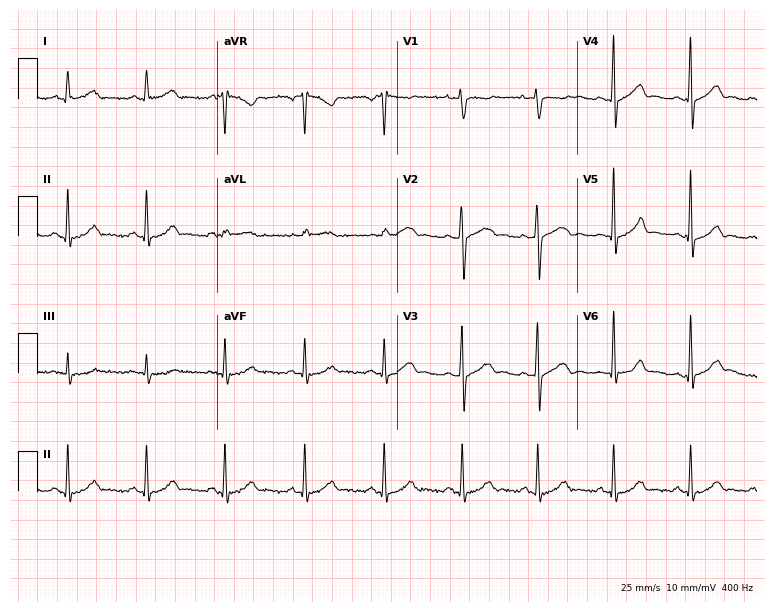
12-lead ECG (7.3-second recording at 400 Hz) from a male, 44 years old. Labelled as a normal ECG.